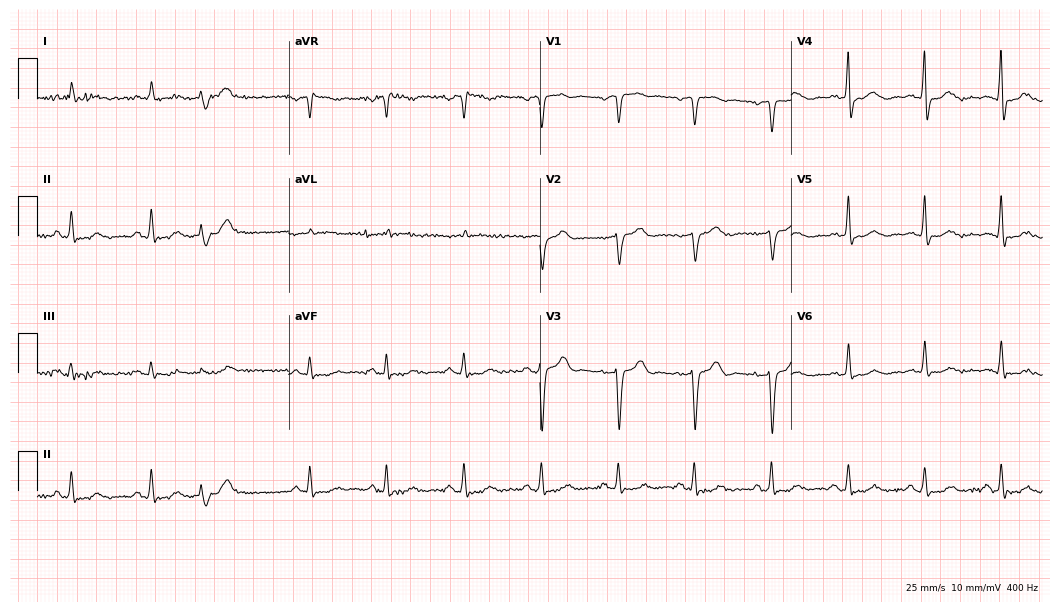
Electrocardiogram (10.2-second recording at 400 Hz), an 84-year-old male patient. Of the six screened findings (first-degree AV block, right bundle branch block (RBBB), left bundle branch block (LBBB), sinus bradycardia, atrial fibrillation (AF), sinus tachycardia), none is recorded. Only these six findings were labelled.